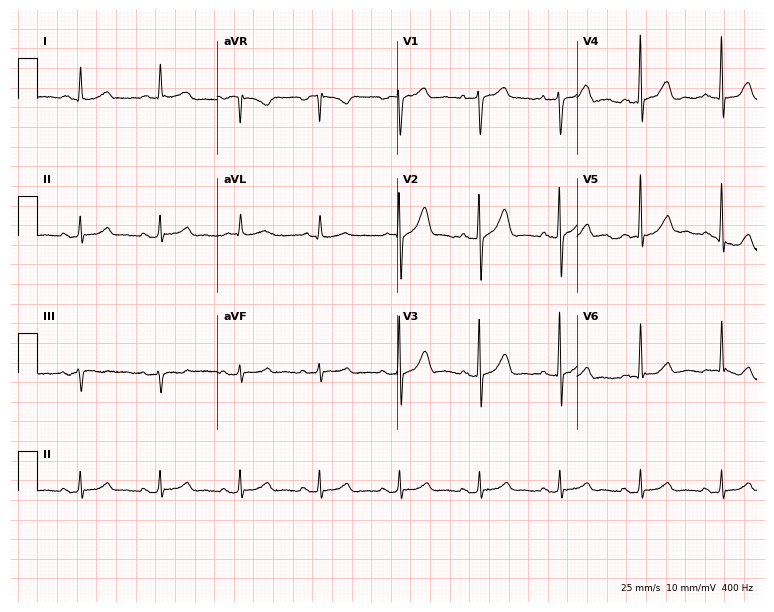
12-lead ECG from a male, 73 years old. Recorded interpretation: within normal limits.